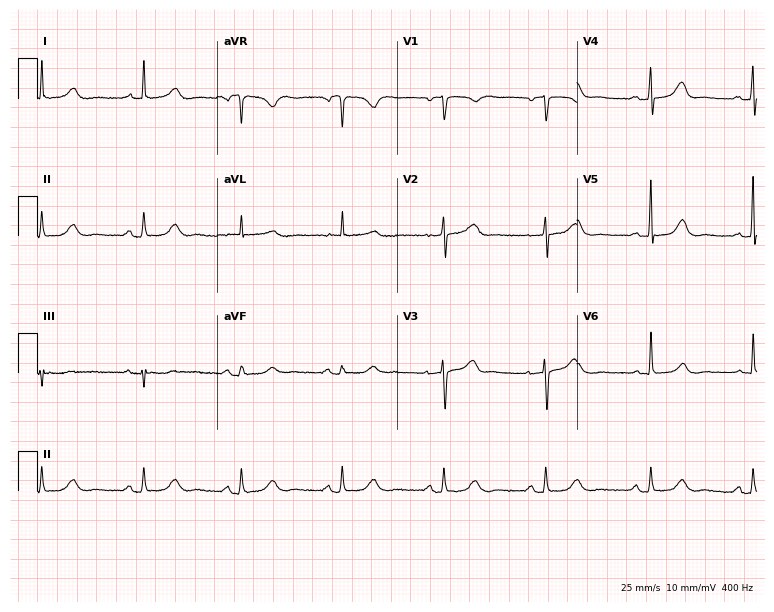
12-lead ECG from a 57-year-old woman. Recorded interpretation: within normal limits.